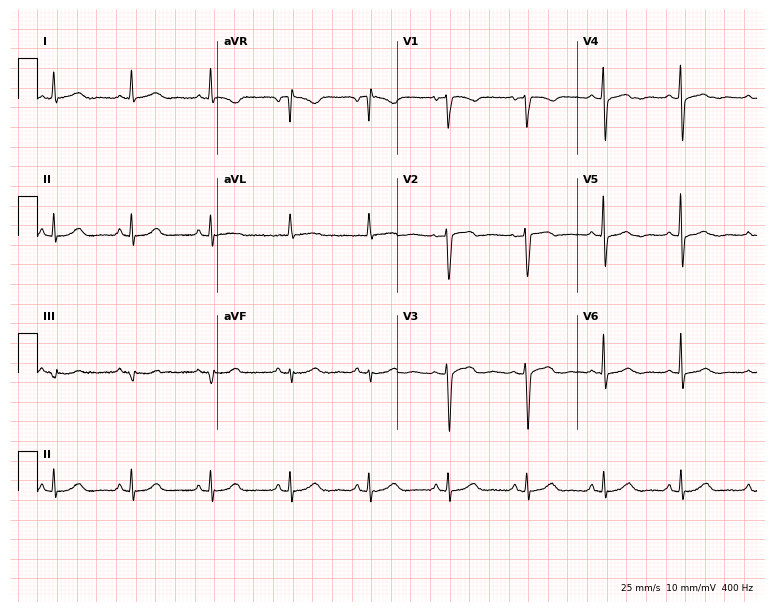
12-lead ECG from a woman, 54 years old. Recorded interpretation: within normal limits.